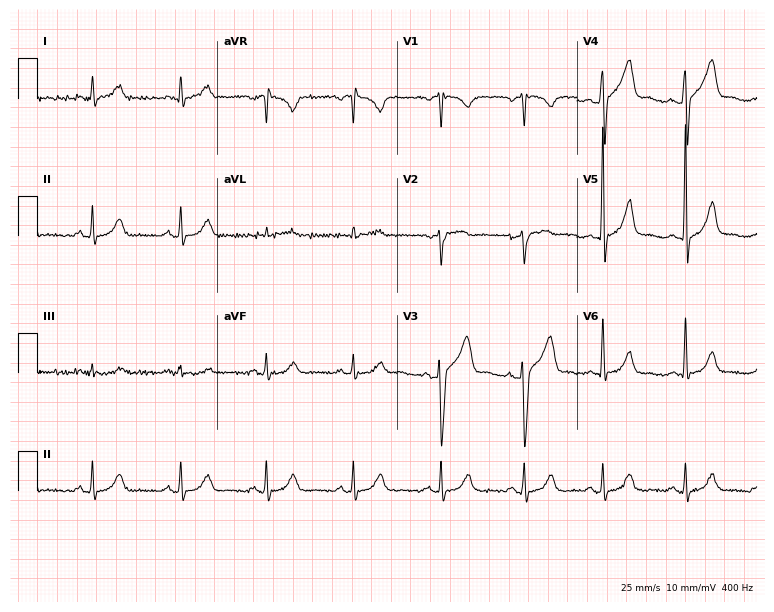
ECG (7.3-second recording at 400 Hz) — a 59-year-old male. Labelled as a normal ECG.